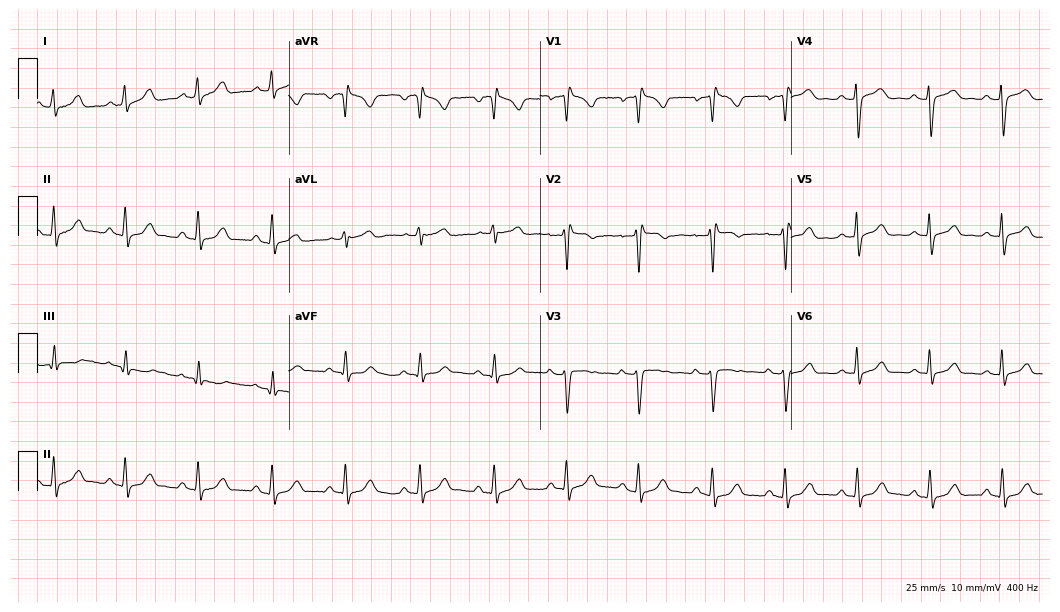
Resting 12-lead electrocardiogram (10.2-second recording at 400 Hz). Patient: a 39-year-old woman. None of these six findings is recorded: first-degree AV block, right bundle branch block, left bundle branch block, sinus bradycardia, atrial fibrillation, sinus tachycardia. Only these six findings were labelled.